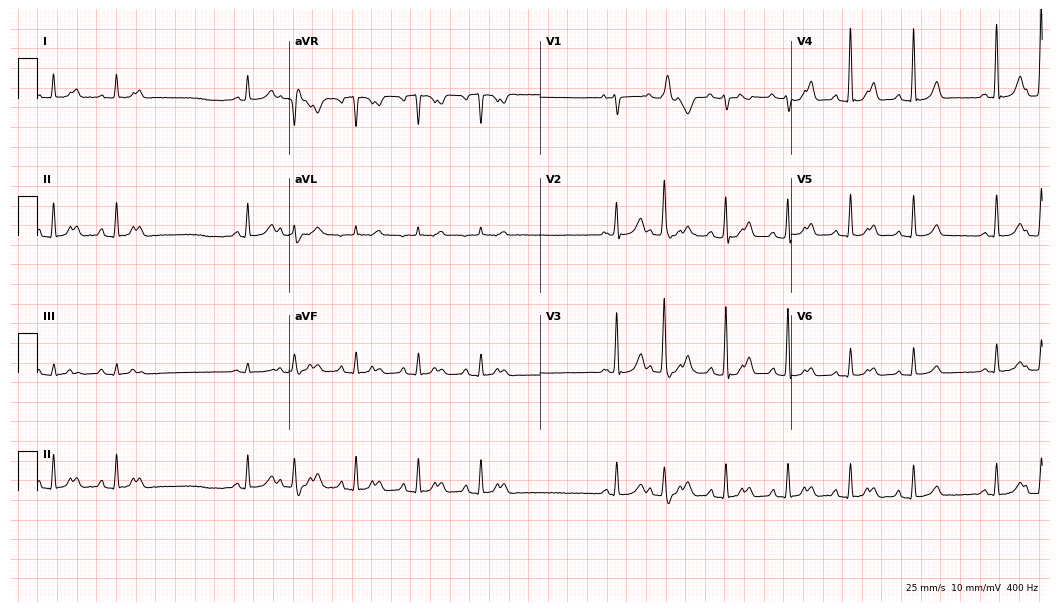
ECG (10.2-second recording at 400 Hz) — a 60-year-old female. Screened for six findings — first-degree AV block, right bundle branch block (RBBB), left bundle branch block (LBBB), sinus bradycardia, atrial fibrillation (AF), sinus tachycardia — none is recorded.